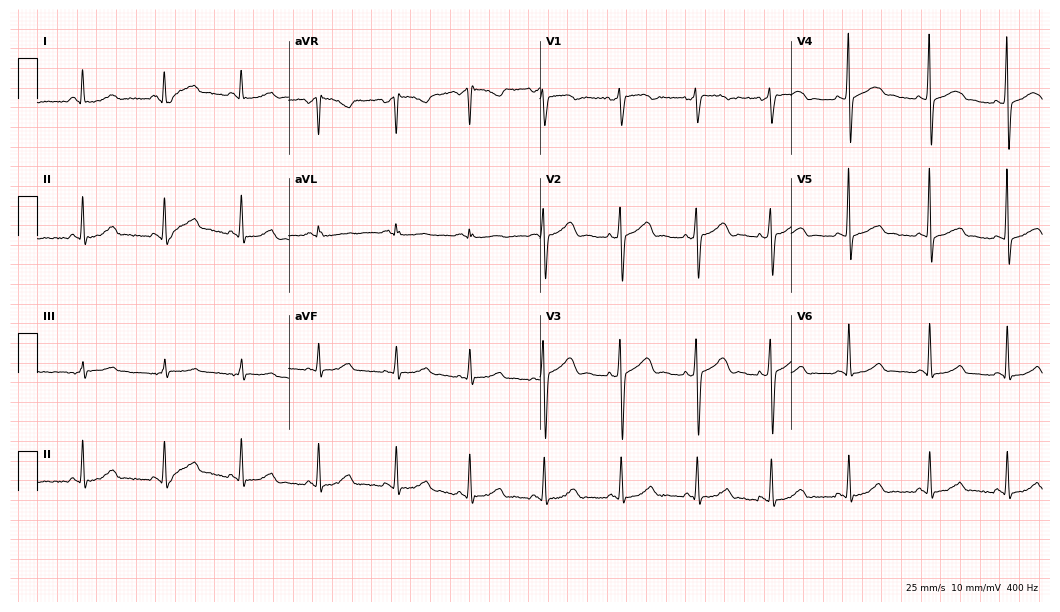
ECG (10.2-second recording at 400 Hz) — a female, 33 years old. Screened for six findings — first-degree AV block, right bundle branch block, left bundle branch block, sinus bradycardia, atrial fibrillation, sinus tachycardia — none is recorded. Other findings, if any, are not listed.